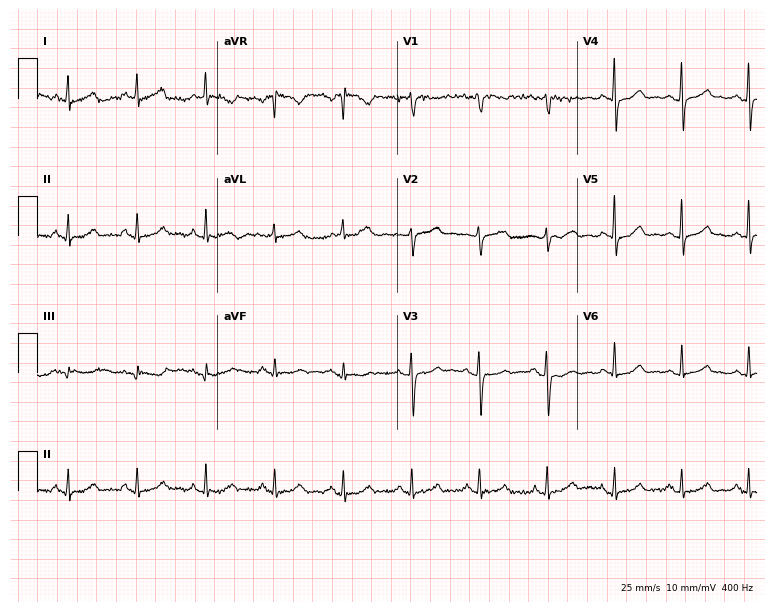
Electrocardiogram (7.3-second recording at 400 Hz), a woman, 51 years old. Overall reading on record: normal ECG.